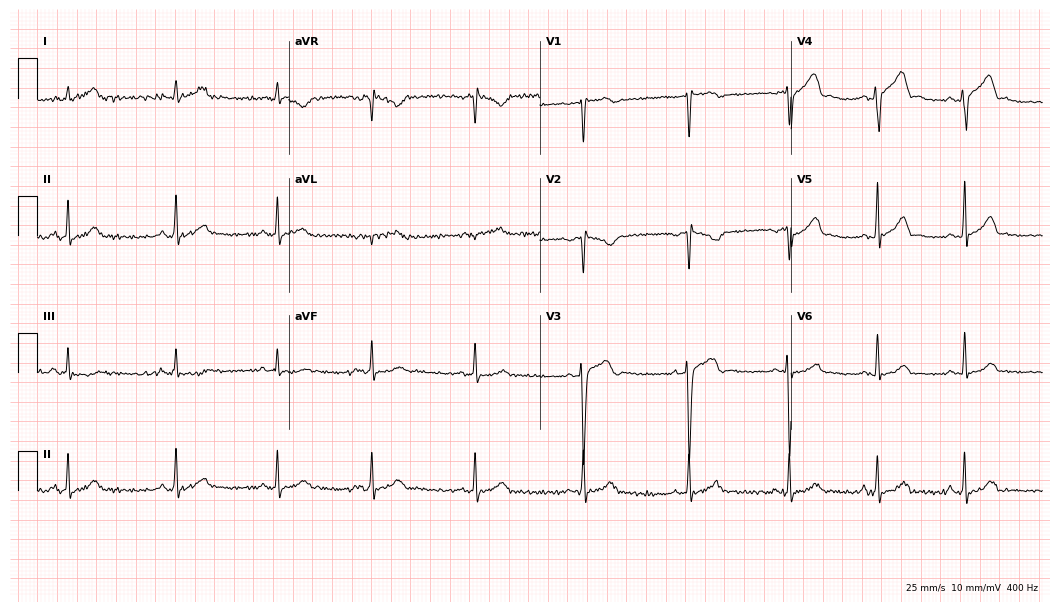
ECG (10.2-second recording at 400 Hz) — a male patient, 23 years old. Labelled as a normal ECG.